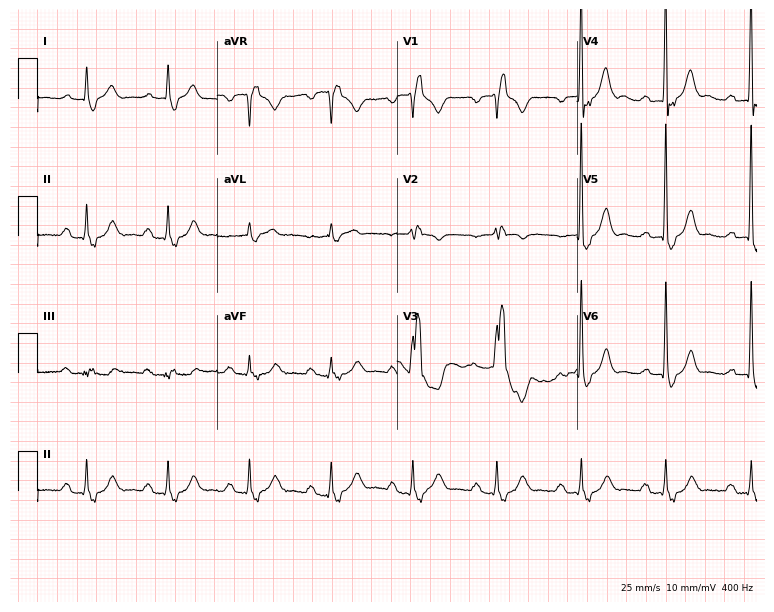
Standard 12-lead ECG recorded from a male patient, 62 years old. The tracing shows first-degree AV block, right bundle branch block (RBBB).